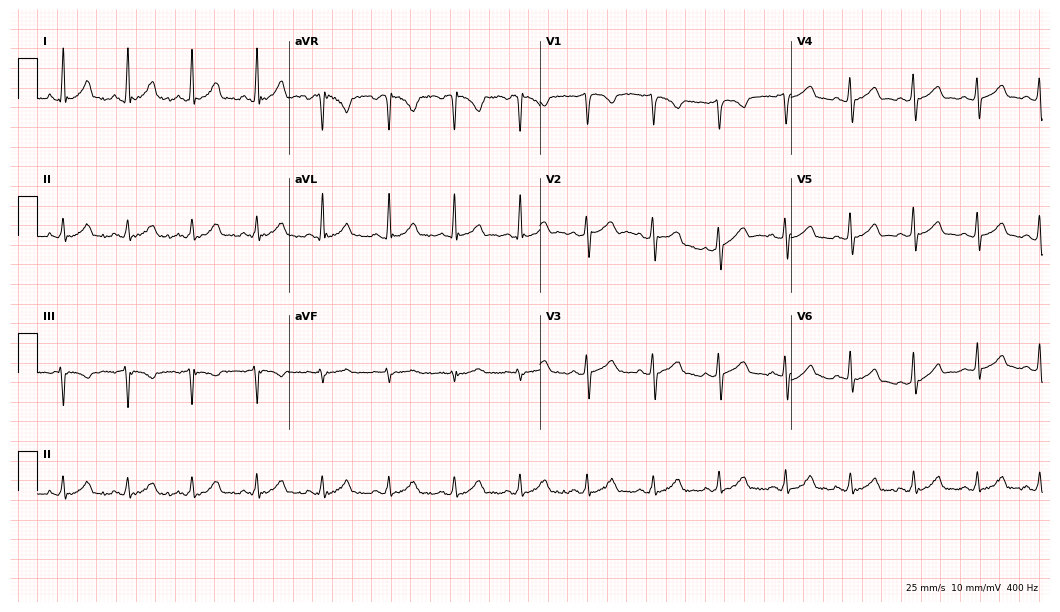
Standard 12-lead ECG recorded from a female, 35 years old (10.2-second recording at 400 Hz). Read as a normal ECG.